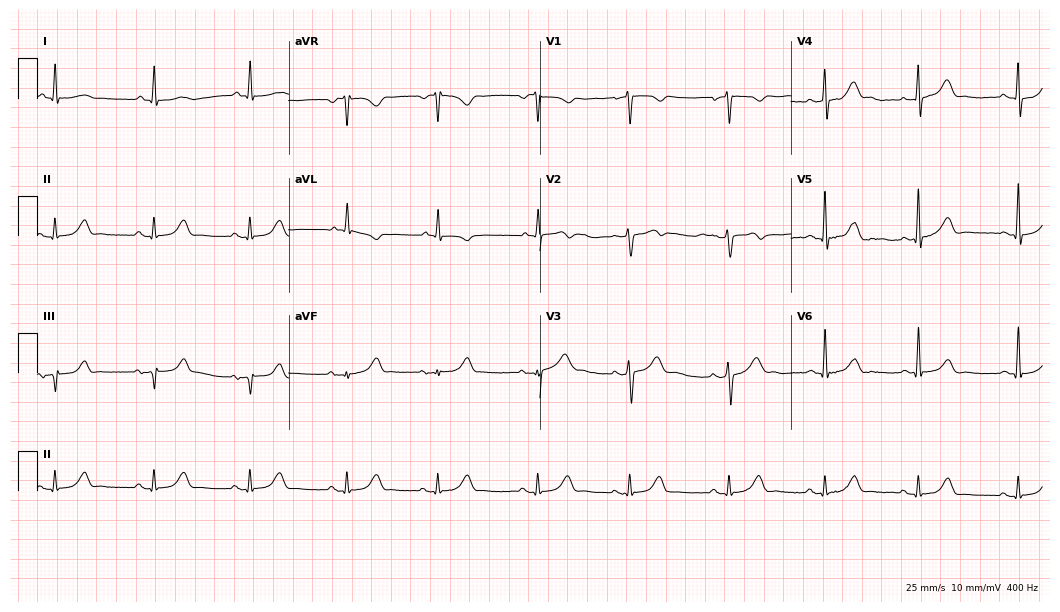
Electrocardiogram (10.2-second recording at 400 Hz), a male patient, 70 years old. Overall reading on record: normal ECG.